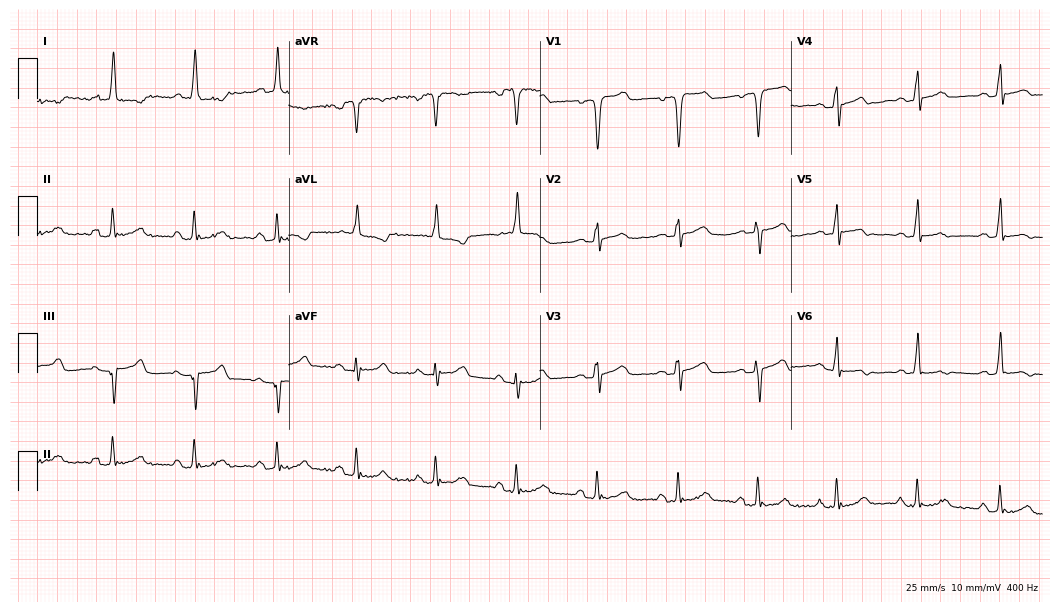
Standard 12-lead ECG recorded from a 71-year-old female. None of these six findings is recorded: first-degree AV block, right bundle branch block (RBBB), left bundle branch block (LBBB), sinus bradycardia, atrial fibrillation (AF), sinus tachycardia. Findings outside these six are not listed.